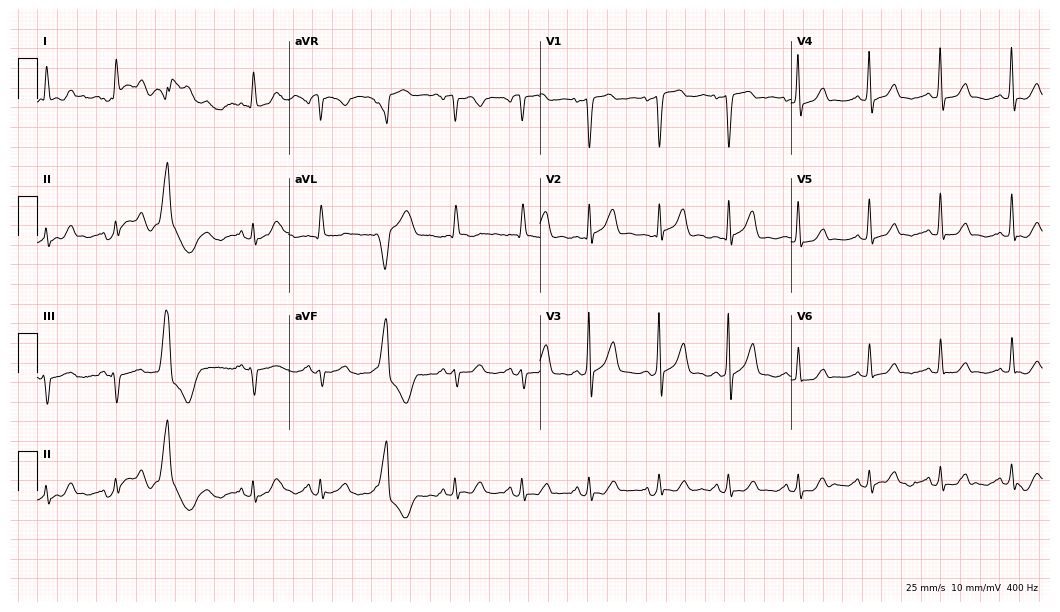
Standard 12-lead ECG recorded from a woman, 57 years old (10.2-second recording at 400 Hz). None of these six findings is recorded: first-degree AV block, right bundle branch block (RBBB), left bundle branch block (LBBB), sinus bradycardia, atrial fibrillation (AF), sinus tachycardia.